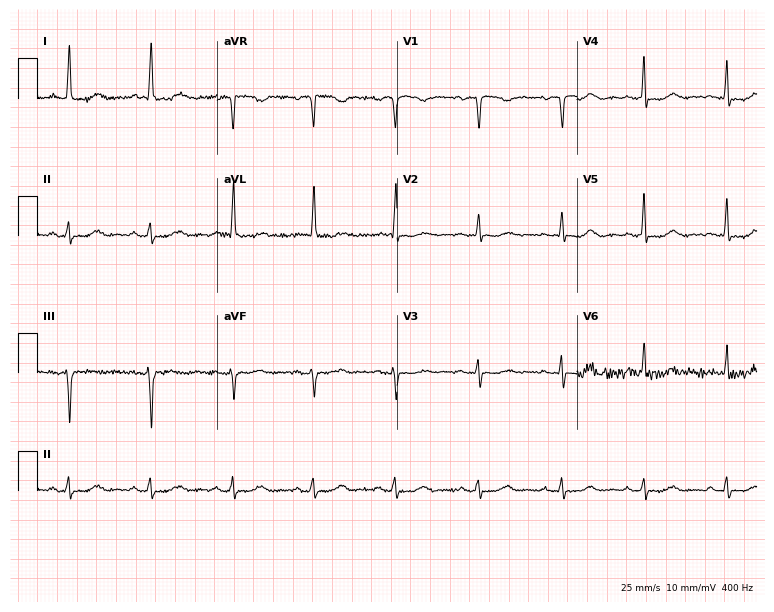
Resting 12-lead electrocardiogram. Patient: a 73-year-old female. None of these six findings is recorded: first-degree AV block, right bundle branch block, left bundle branch block, sinus bradycardia, atrial fibrillation, sinus tachycardia. Only these six findings were labelled.